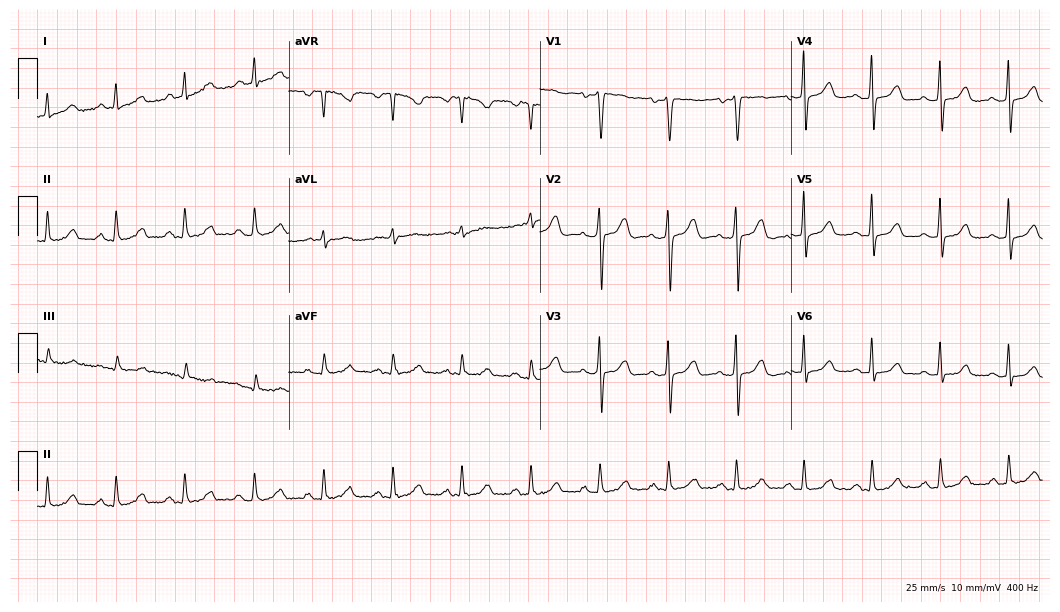
Standard 12-lead ECG recorded from a female, 48 years old (10.2-second recording at 400 Hz). Read as a normal ECG.